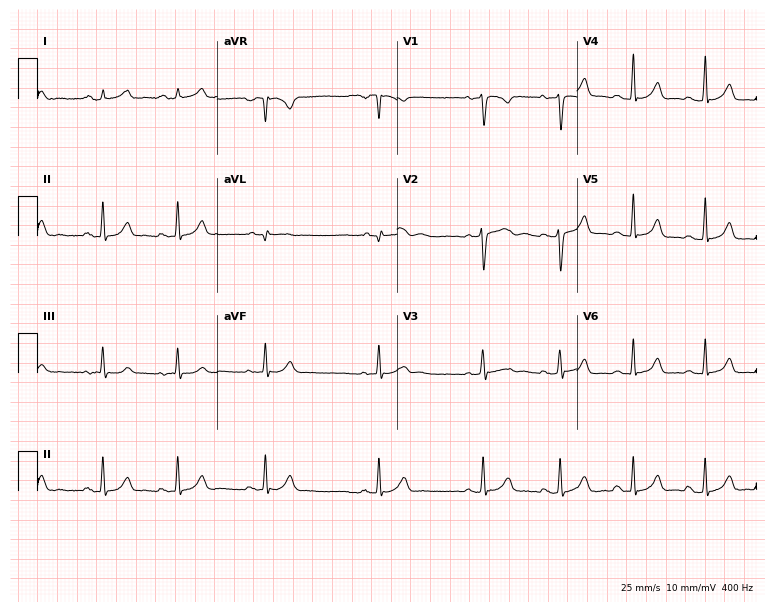
12-lead ECG from a female, 19 years old. No first-degree AV block, right bundle branch block, left bundle branch block, sinus bradycardia, atrial fibrillation or sinus tachycardia recorded for this tracing. Other findings, if any, are not listed.